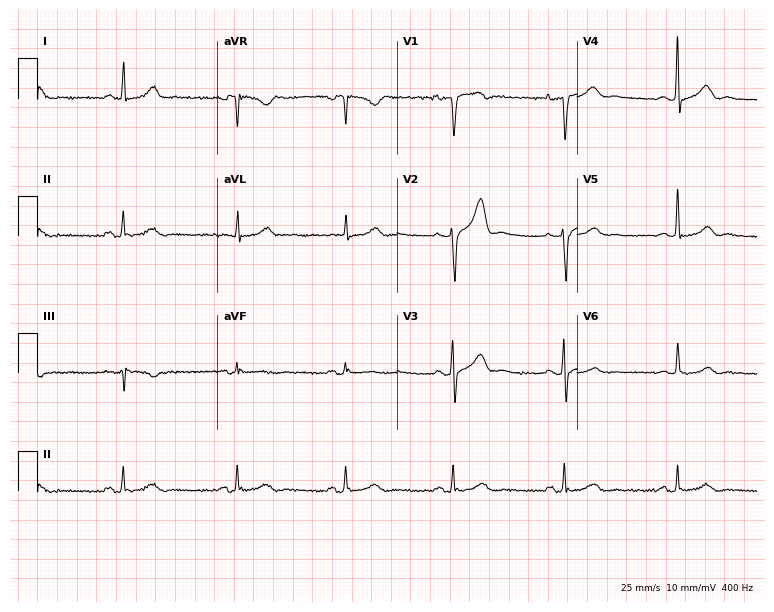
12-lead ECG from a man, 55 years old. Screened for six findings — first-degree AV block, right bundle branch block, left bundle branch block, sinus bradycardia, atrial fibrillation, sinus tachycardia — none is recorded.